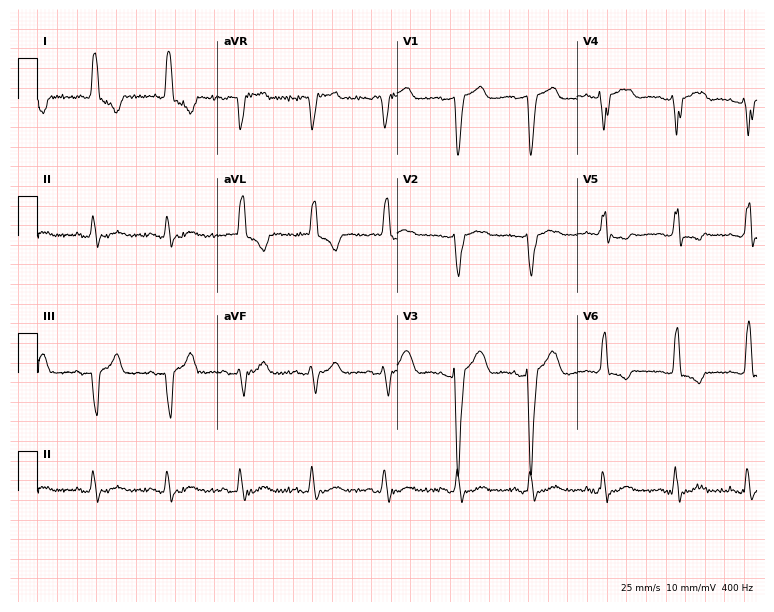
12-lead ECG from a 77-year-old female patient (7.3-second recording at 400 Hz). Shows left bundle branch block.